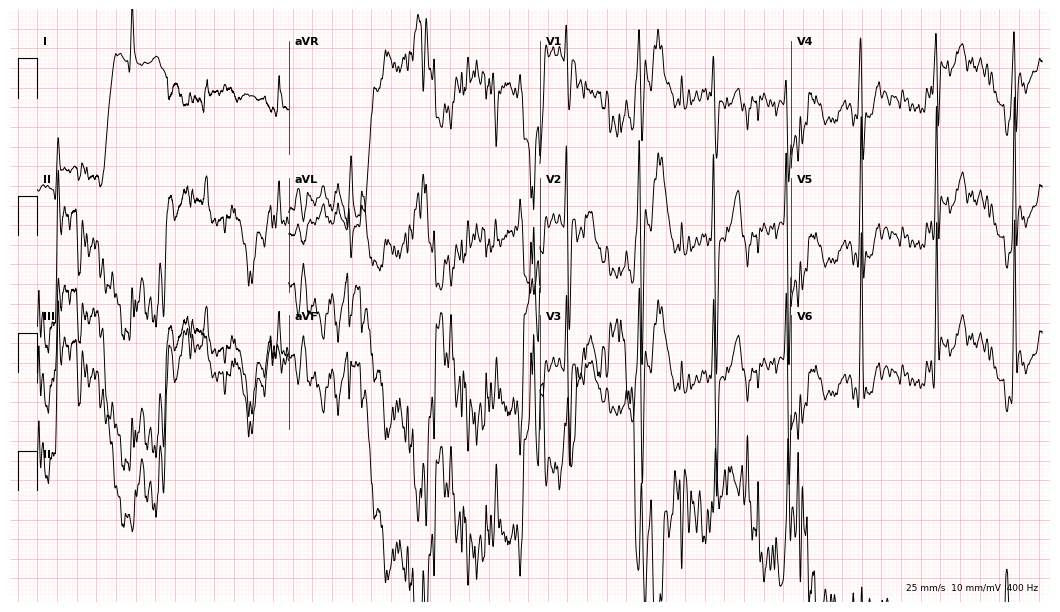
Electrocardiogram, a 39-year-old male patient. Of the six screened findings (first-degree AV block, right bundle branch block, left bundle branch block, sinus bradycardia, atrial fibrillation, sinus tachycardia), none is recorded.